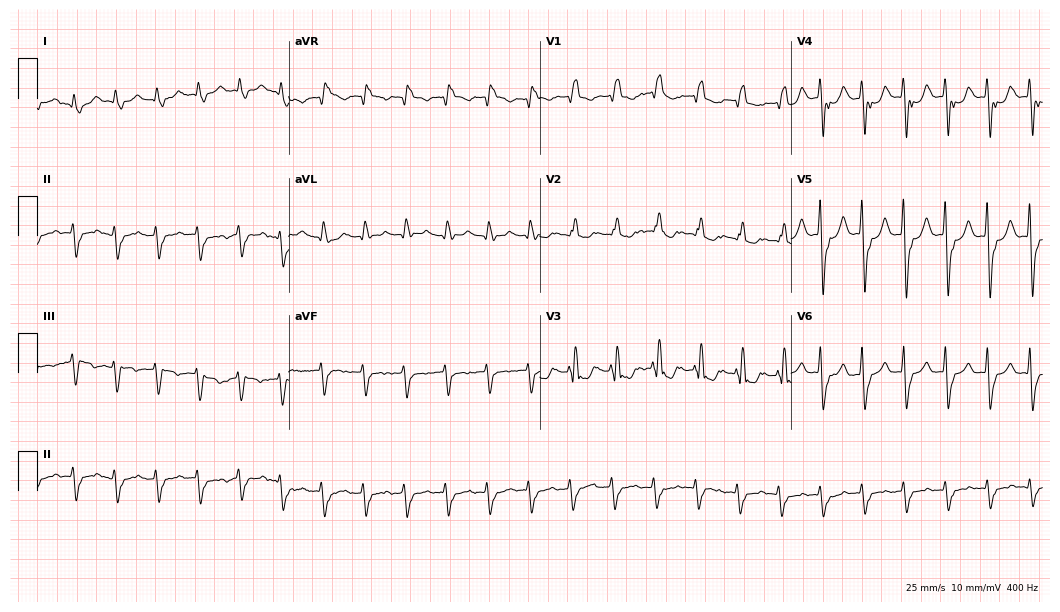
12-lead ECG from a man, 83 years old. Shows right bundle branch block, sinus tachycardia (a sinus rate of 100 beats per minute or more).